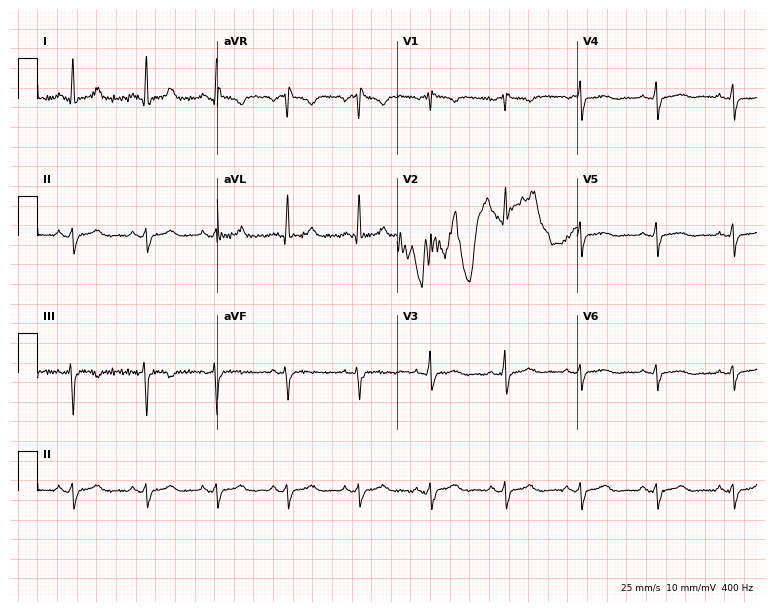
12-lead ECG from a 74-year-old woman. Screened for six findings — first-degree AV block, right bundle branch block, left bundle branch block, sinus bradycardia, atrial fibrillation, sinus tachycardia — none is recorded. Findings outside these six are not listed.